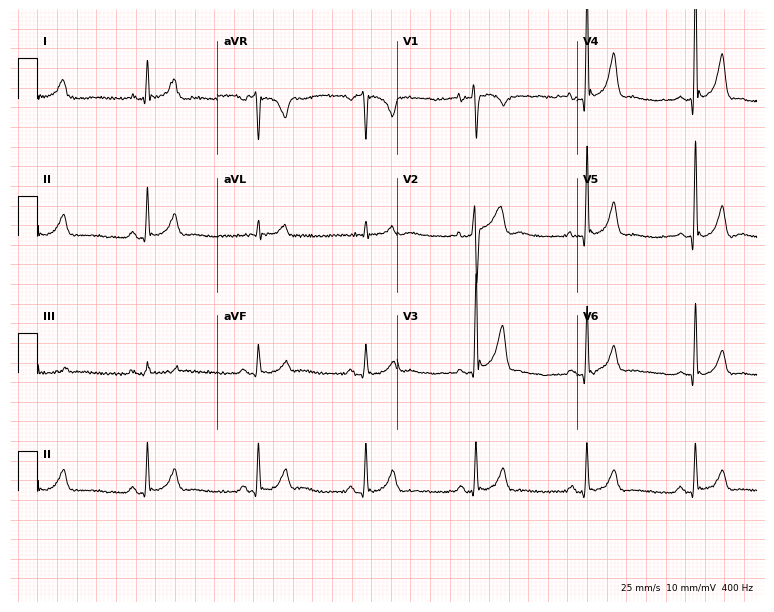
ECG (7.3-second recording at 400 Hz) — a 45-year-old male patient. Labelled as a normal ECG.